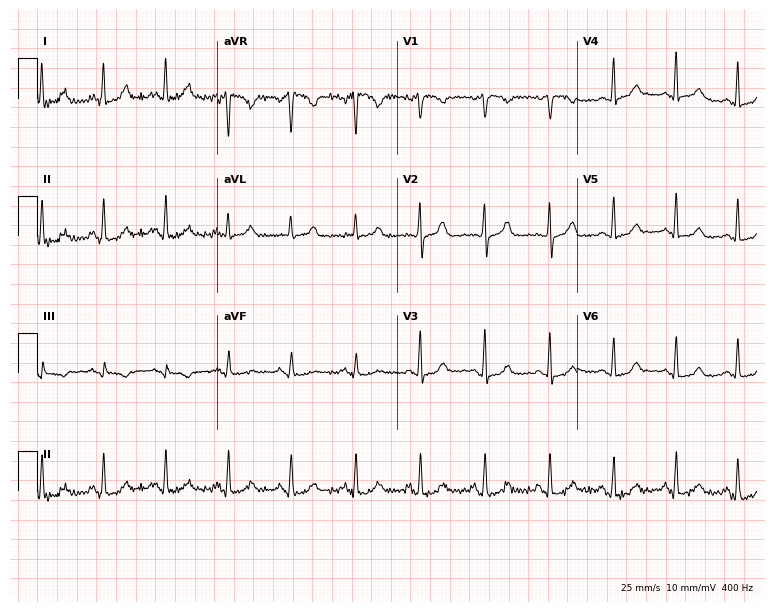
ECG (7.3-second recording at 400 Hz) — a 54-year-old female. Labelled as a normal ECG.